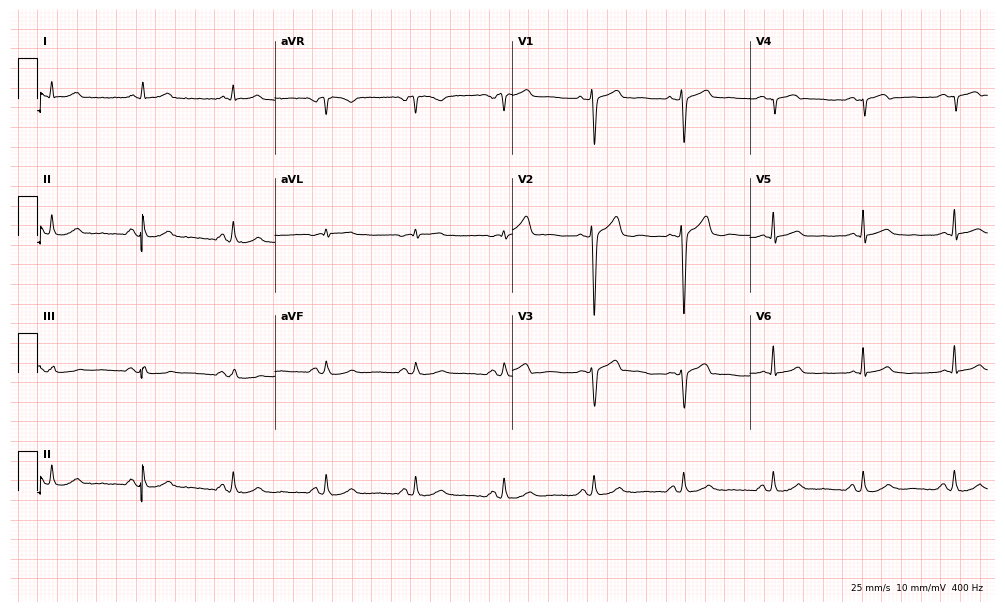
Standard 12-lead ECG recorded from a male, 63 years old (9.7-second recording at 400 Hz). Read as a normal ECG.